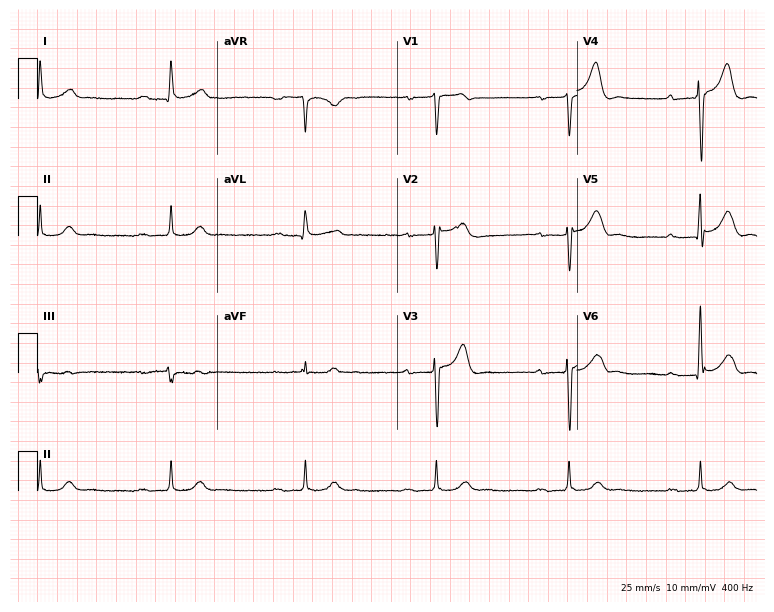
12-lead ECG (7.3-second recording at 400 Hz) from a 61-year-old male. Findings include first-degree AV block, sinus bradycardia (a sinus rate of 50 beats per minute or less).